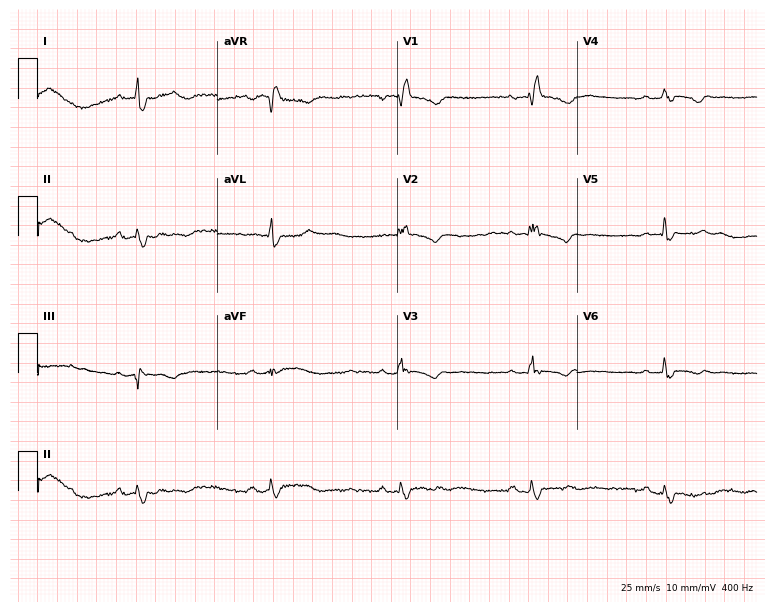
Electrocardiogram (7.3-second recording at 400 Hz), a woman, 42 years old. Interpretation includes right bundle branch block, sinus bradycardia (a sinus rate of 50 beats per minute or less).